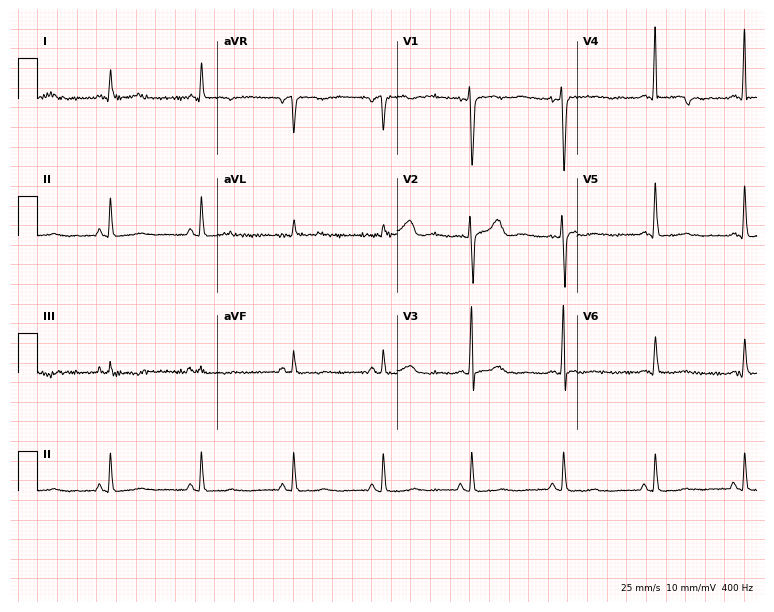
Resting 12-lead electrocardiogram (7.3-second recording at 400 Hz). Patient: a woman, 43 years old. None of these six findings is recorded: first-degree AV block, right bundle branch block, left bundle branch block, sinus bradycardia, atrial fibrillation, sinus tachycardia.